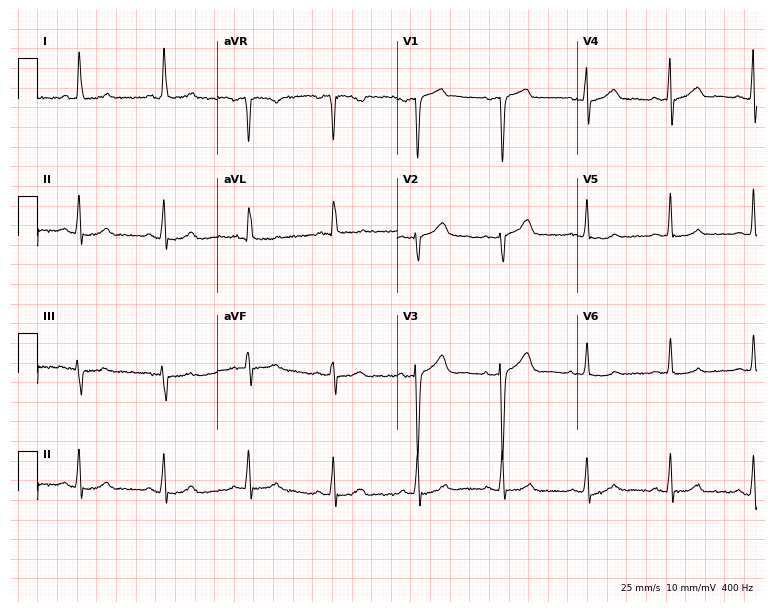
Standard 12-lead ECG recorded from a female, 60 years old (7.3-second recording at 400 Hz). None of these six findings is recorded: first-degree AV block, right bundle branch block, left bundle branch block, sinus bradycardia, atrial fibrillation, sinus tachycardia.